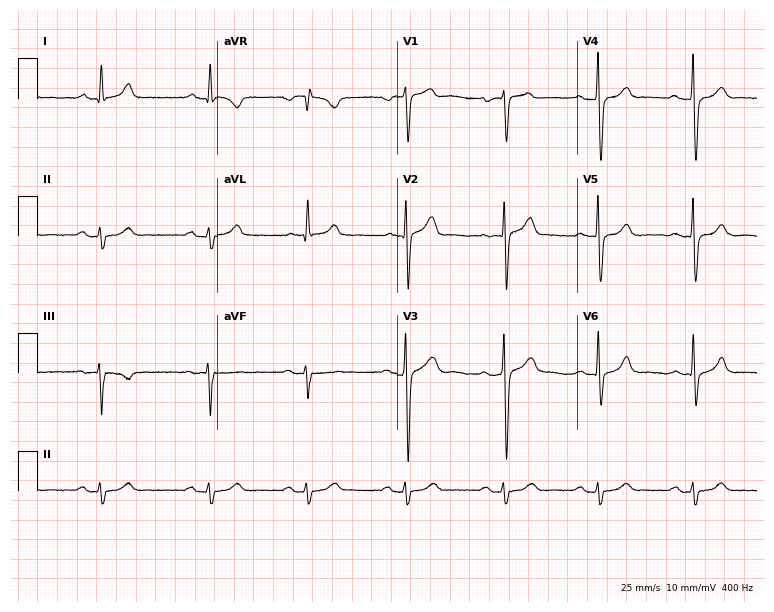
Resting 12-lead electrocardiogram (7.3-second recording at 400 Hz). Patient: a 54-year-old man. None of these six findings is recorded: first-degree AV block, right bundle branch block, left bundle branch block, sinus bradycardia, atrial fibrillation, sinus tachycardia. Findings outside these six are not listed.